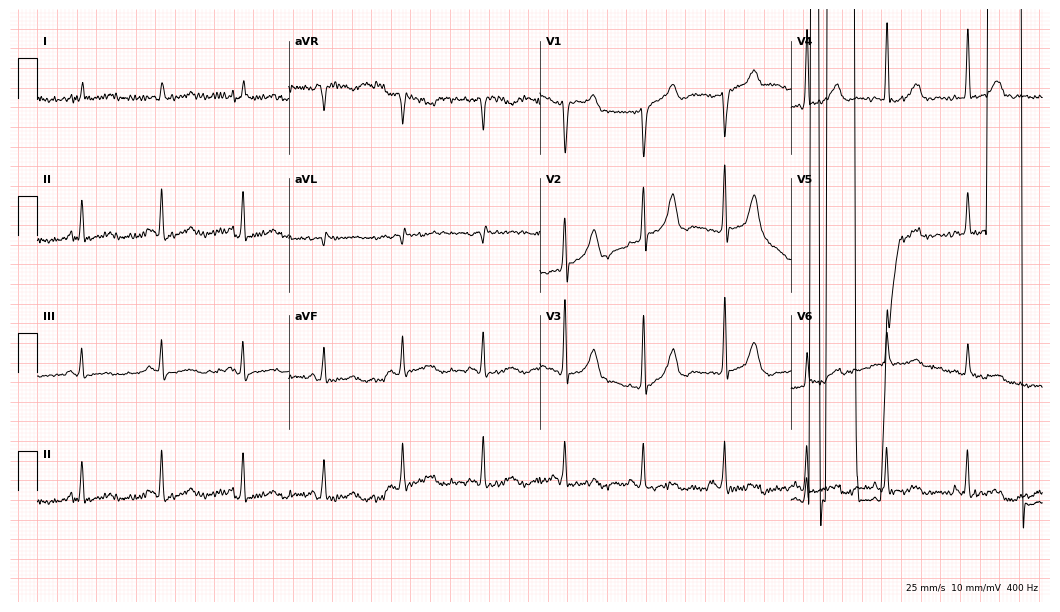
12-lead ECG from a woman, 79 years old. No first-degree AV block, right bundle branch block (RBBB), left bundle branch block (LBBB), sinus bradycardia, atrial fibrillation (AF) or sinus tachycardia recorded for this tracing.